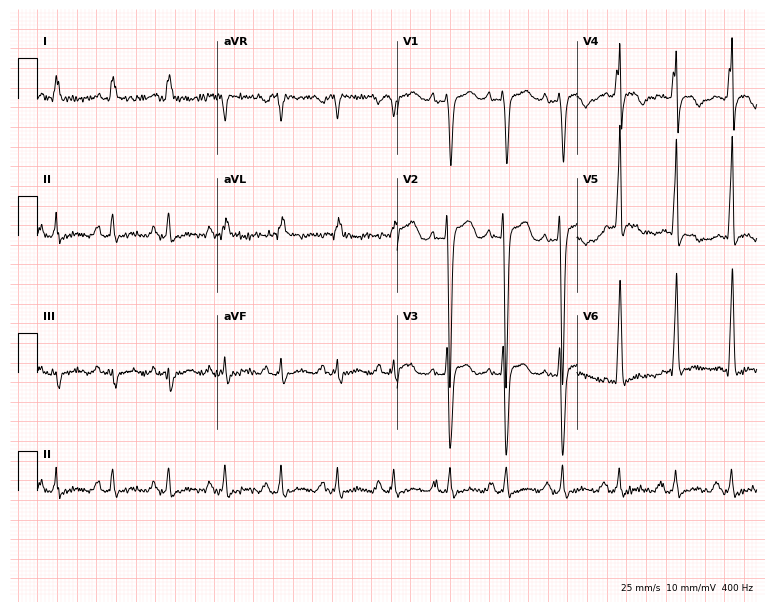
Electrocardiogram, a 42-year-old male patient. Interpretation includes sinus tachycardia (a sinus rate of 100 beats per minute or more).